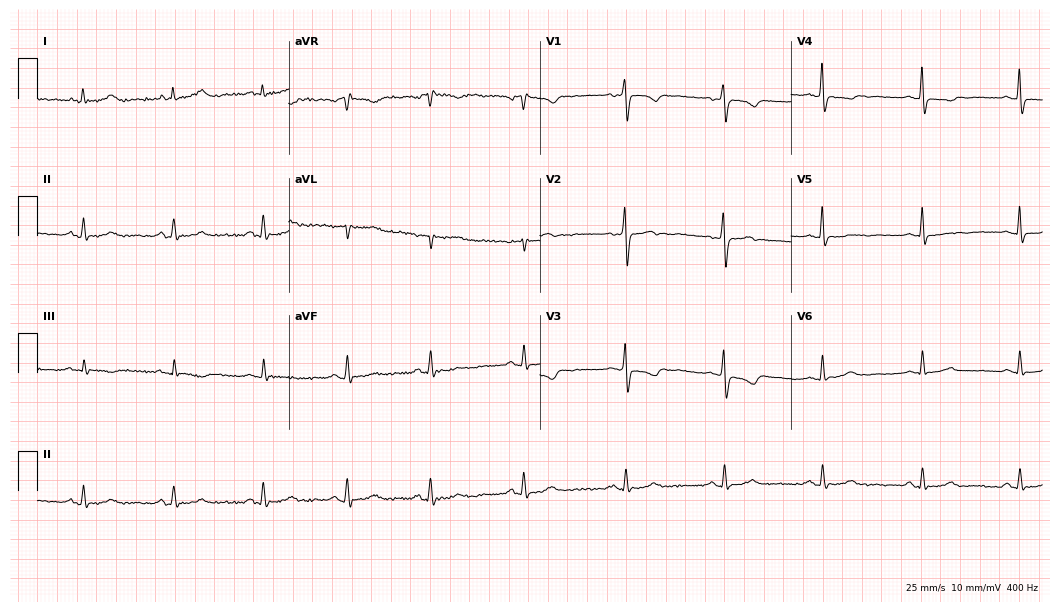
ECG — a 61-year-old female. Screened for six findings — first-degree AV block, right bundle branch block (RBBB), left bundle branch block (LBBB), sinus bradycardia, atrial fibrillation (AF), sinus tachycardia — none is recorded.